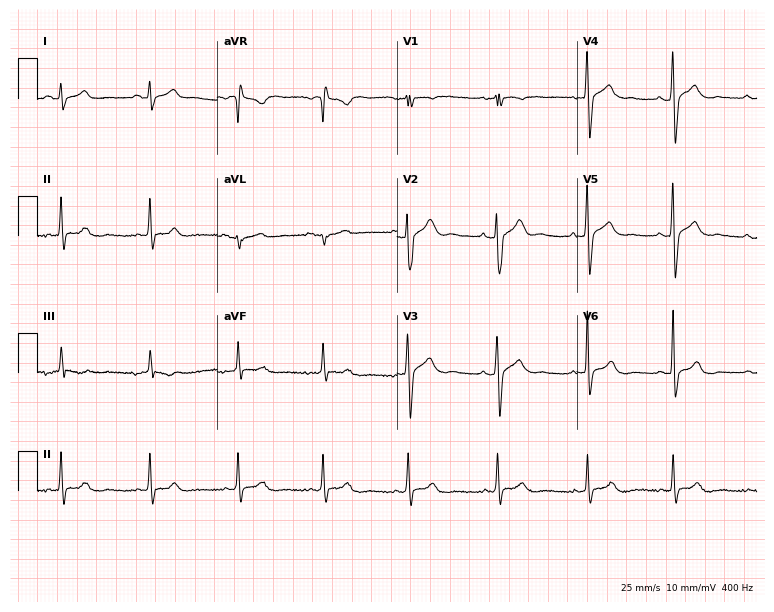
12-lead ECG (7.3-second recording at 400 Hz) from a 30-year-old man. Labelled as a normal ECG.